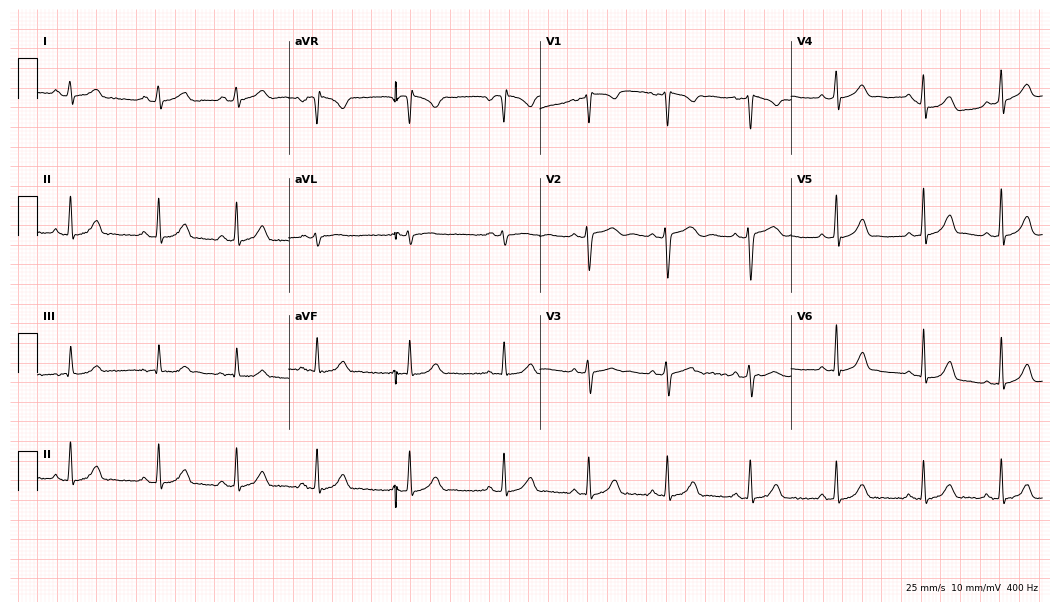
12-lead ECG from a 21-year-old female. Recorded interpretation: within normal limits.